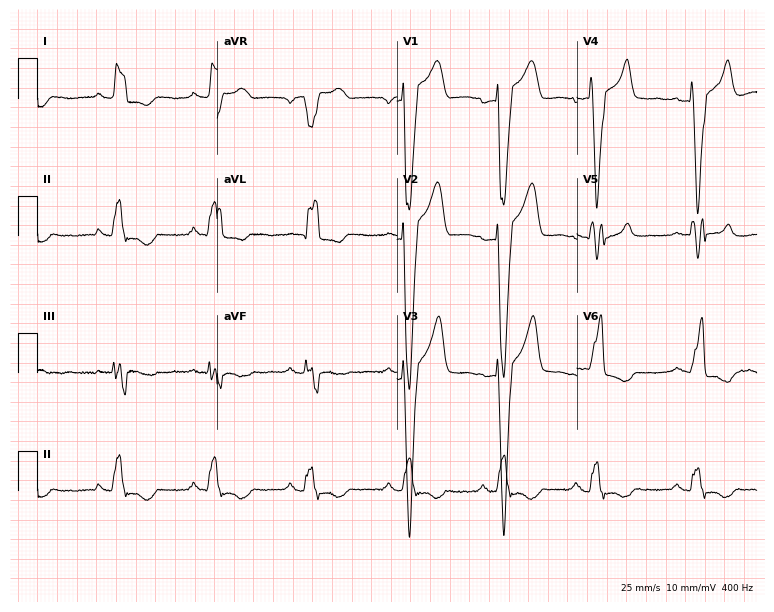
Standard 12-lead ECG recorded from a 72-year-old woman (7.3-second recording at 400 Hz). None of these six findings is recorded: first-degree AV block, right bundle branch block, left bundle branch block, sinus bradycardia, atrial fibrillation, sinus tachycardia.